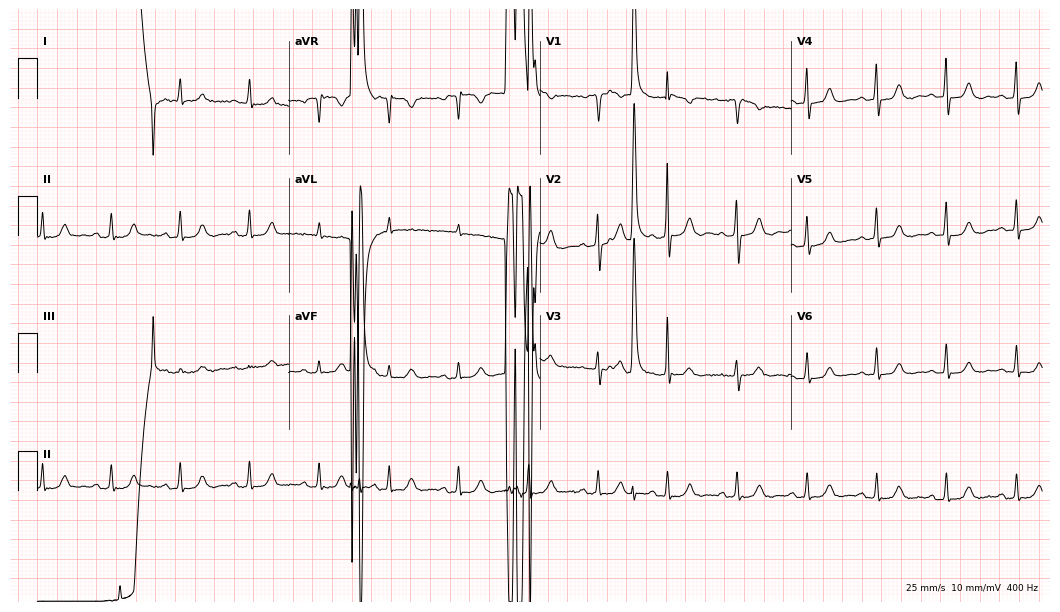
Resting 12-lead electrocardiogram. Patient: a 63-year-old woman. Read as a normal ECG.